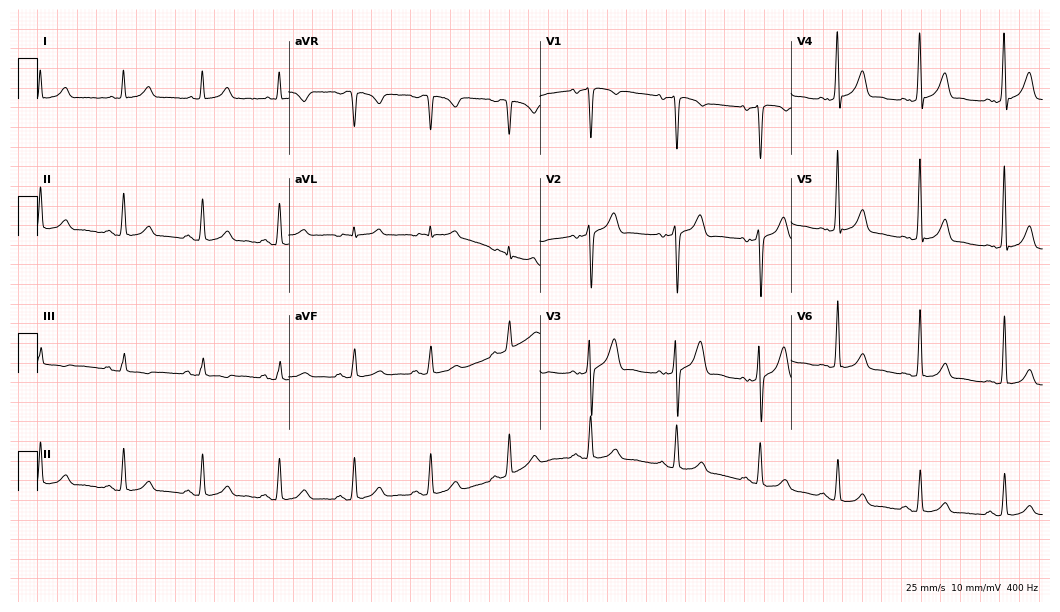
Resting 12-lead electrocardiogram (10.2-second recording at 400 Hz). Patient: a male, 36 years old. Read as a normal ECG.